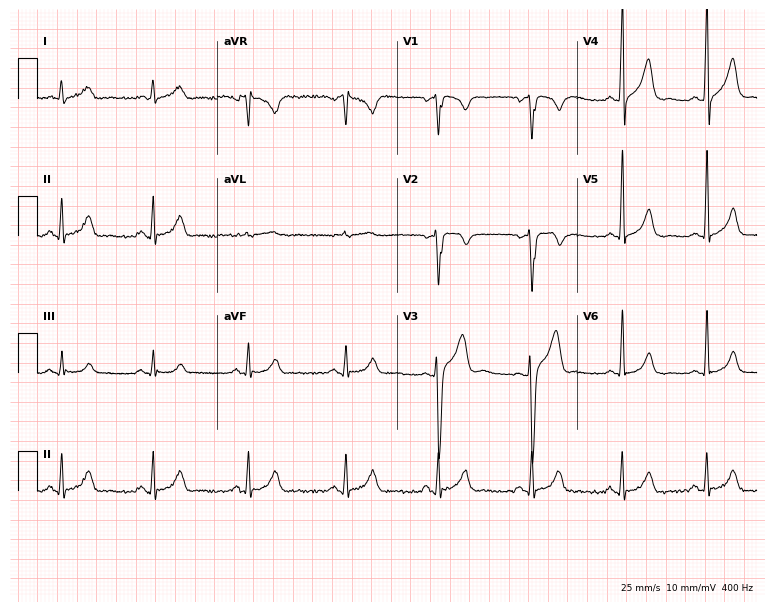
12-lead ECG from a man, 36 years old (7.3-second recording at 400 Hz). No first-degree AV block, right bundle branch block, left bundle branch block, sinus bradycardia, atrial fibrillation or sinus tachycardia recorded for this tracing.